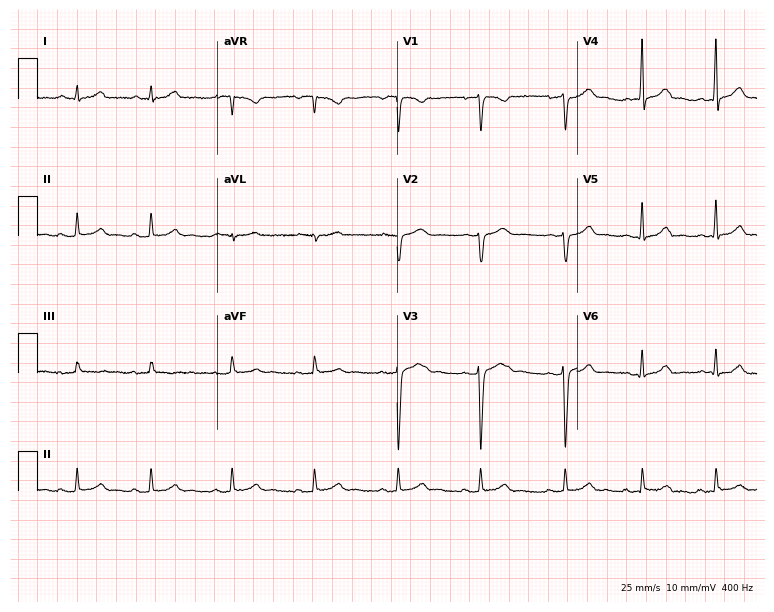
12-lead ECG from a 30-year-old female patient (7.3-second recording at 400 Hz). No first-degree AV block, right bundle branch block, left bundle branch block, sinus bradycardia, atrial fibrillation or sinus tachycardia recorded for this tracing.